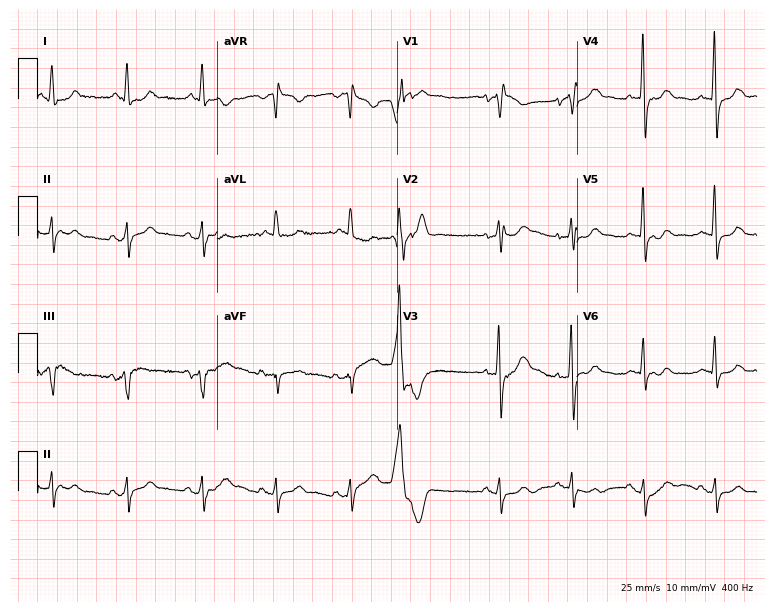
12-lead ECG (7.3-second recording at 400 Hz) from a 73-year-old male. Screened for six findings — first-degree AV block, right bundle branch block, left bundle branch block, sinus bradycardia, atrial fibrillation, sinus tachycardia — none is recorded.